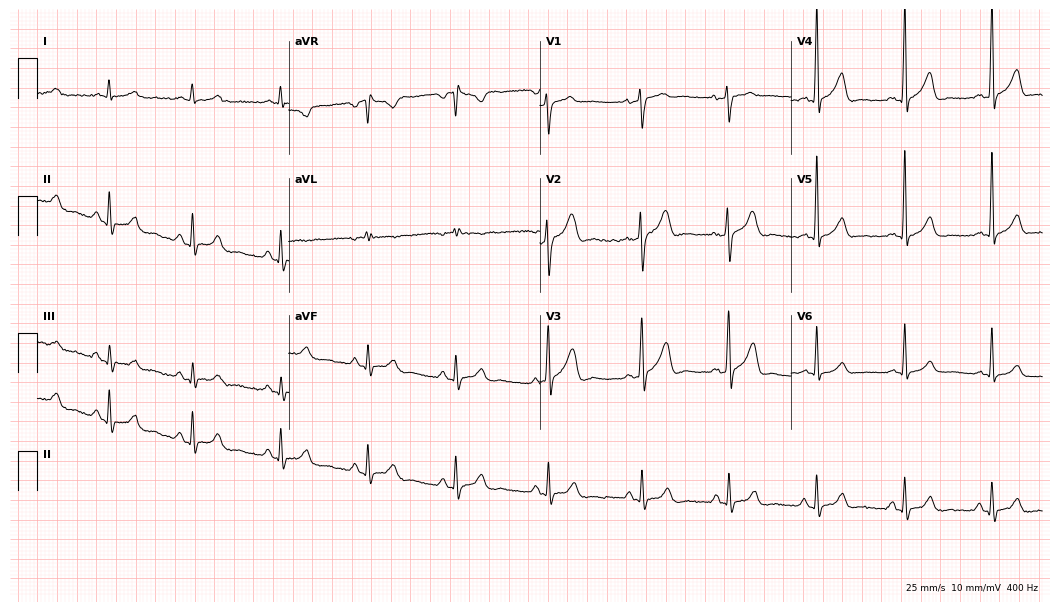
Standard 12-lead ECG recorded from a male, 30 years old. None of these six findings is recorded: first-degree AV block, right bundle branch block (RBBB), left bundle branch block (LBBB), sinus bradycardia, atrial fibrillation (AF), sinus tachycardia. Only these six findings were labelled.